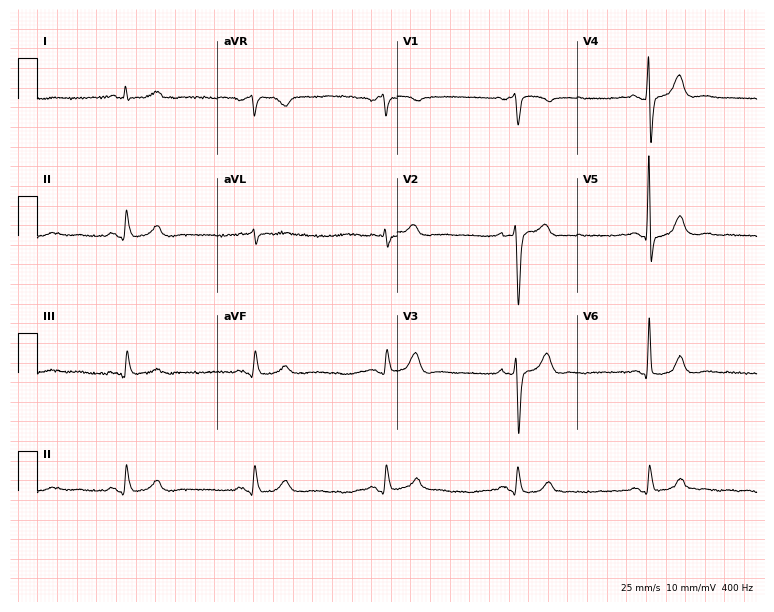
ECG — a male, 65 years old. Screened for six findings — first-degree AV block, right bundle branch block, left bundle branch block, sinus bradycardia, atrial fibrillation, sinus tachycardia — none is recorded. Other findings, if any, are not listed.